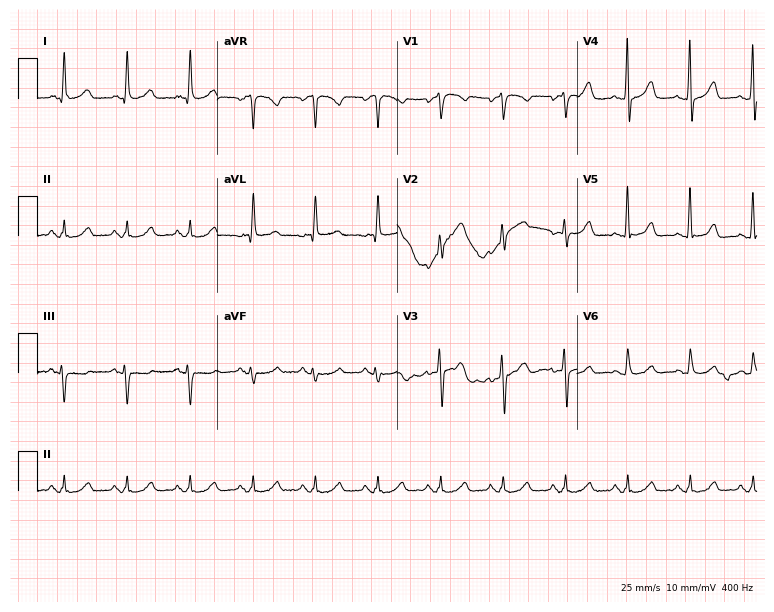
Standard 12-lead ECG recorded from a 72-year-old female (7.3-second recording at 400 Hz). None of these six findings is recorded: first-degree AV block, right bundle branch block, left bundle branch block, sinus bradycardia, atrial fibrillation, sinus tachycardia.